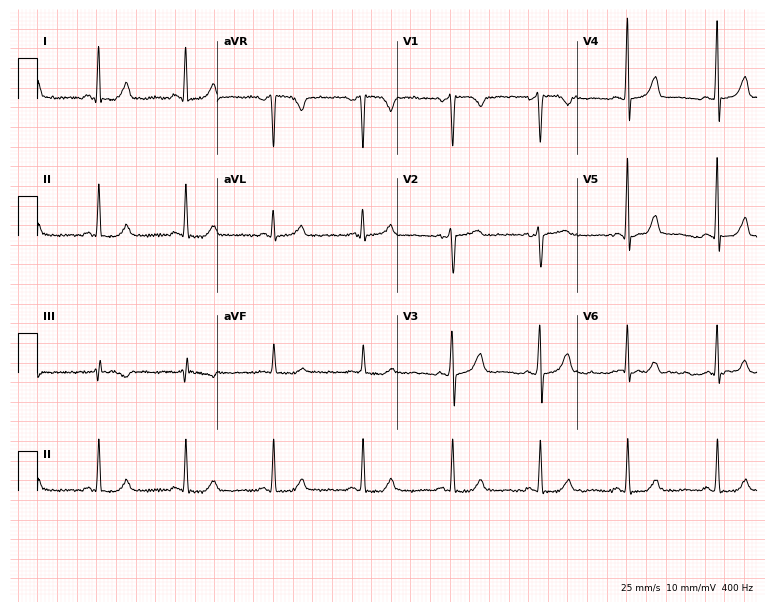
12-lead ECG (7.3-second recording at 400 Hz) from a female, 48 years old. Labelled as a normal ECG.